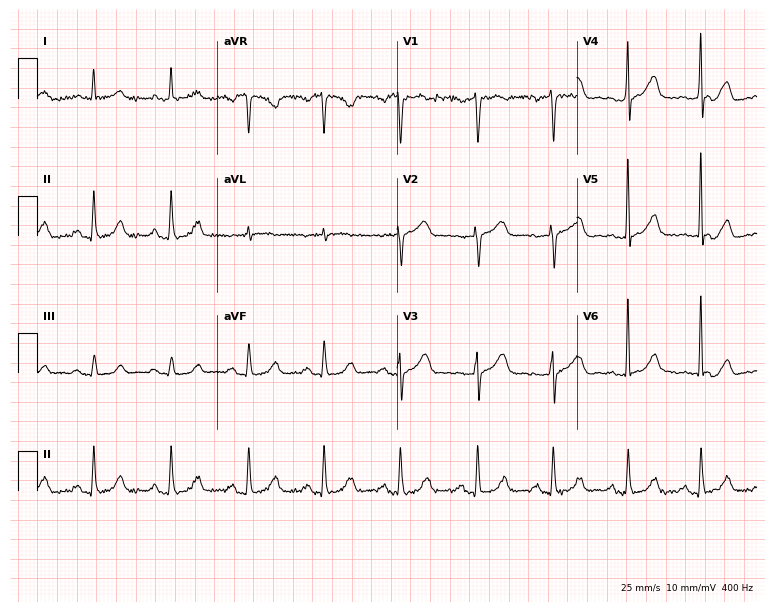
12-lead ECG from a 63-year-old woman. No first-degree AV block, right bundle branch block, left bundle branch block, sinus bradycardia, atrial fibrillation or sinus tachycardia recorded for this tracing. Findings outside these six are not listed.